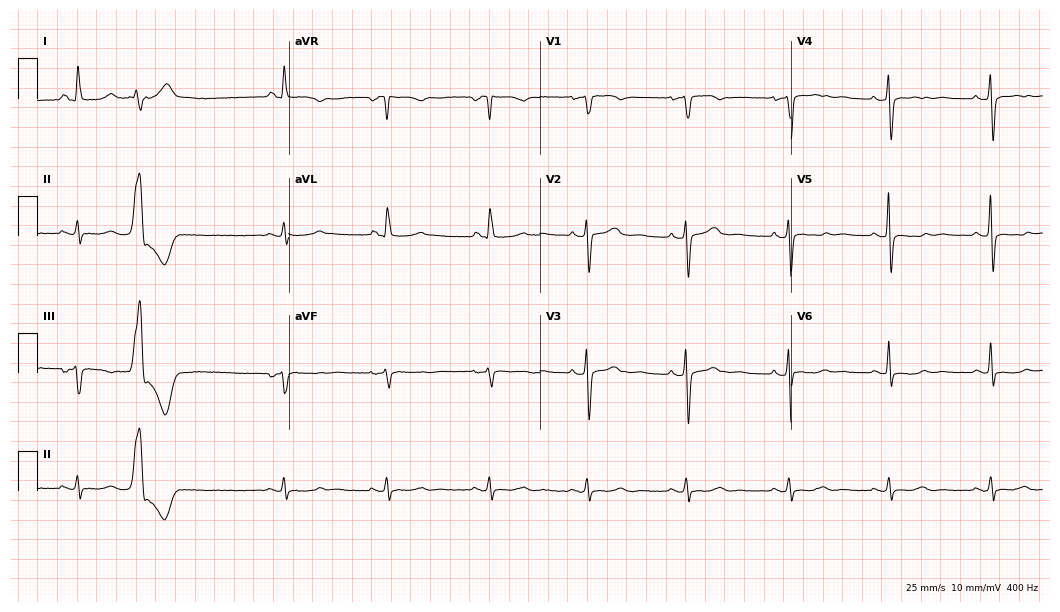
Standard 12-lead ECG recorded from a 59-year-old woman (10.2-second recording at 400 Hz). Read as a normal ECG.